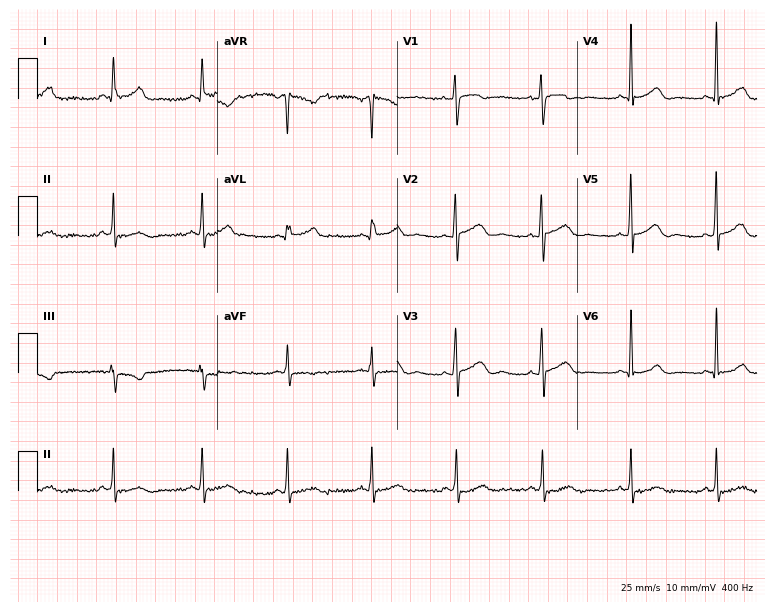
ECG (7.3-second recording at 400 Hz) — a female patient, 49 years old. Screened for six findings — first-degree AV block, right bundle branch block, left bundle branch block, sinus bradycardia, atrial fibrillation, sinus tachycardia — none is recorded.